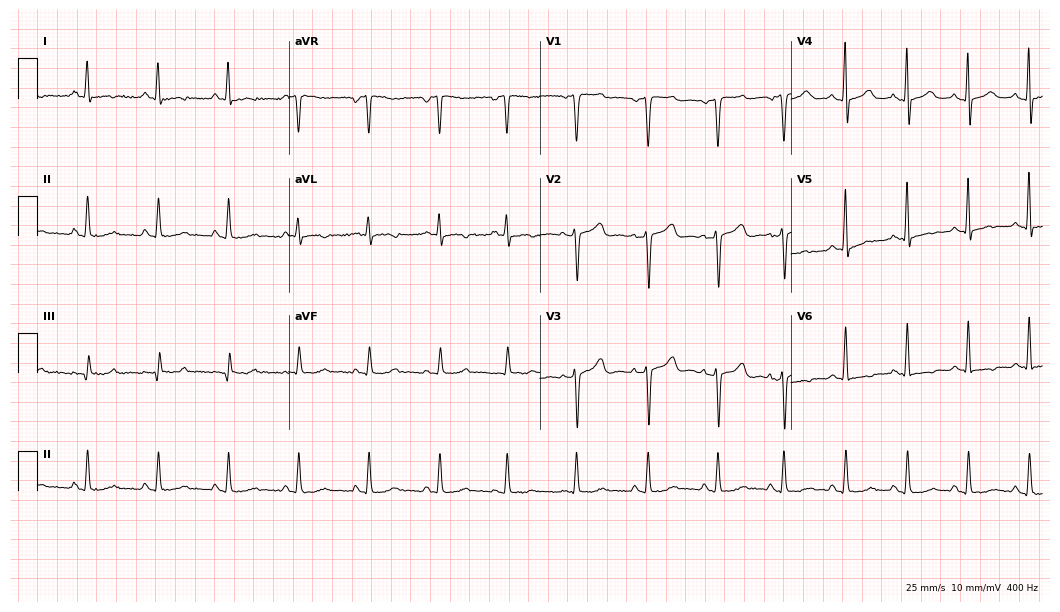
Resting 12-lead electrocardiogram. Patient: a woman, 49 years old. None of these six findings is recorded: first-degree AV block, right bundle branch block, left bundle branch block, sinus bradycardia, atrial fibrillation, sinus tachycardia.